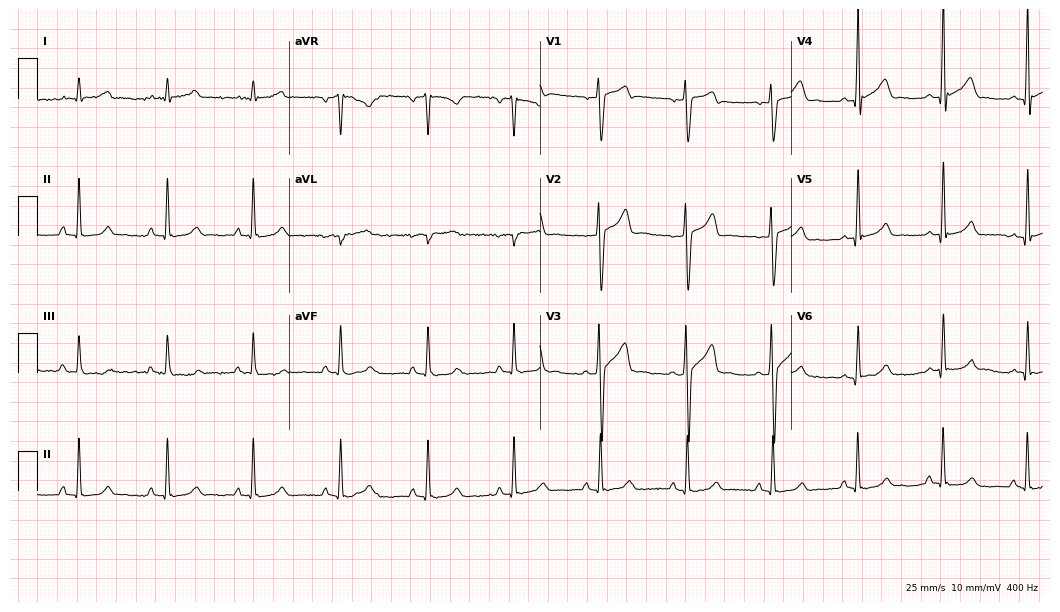
Resting 12-lead electrocardiogram (10.2-second recording at 400 Hz). Patient: a 17-year-old male. Read as a normal ECG.